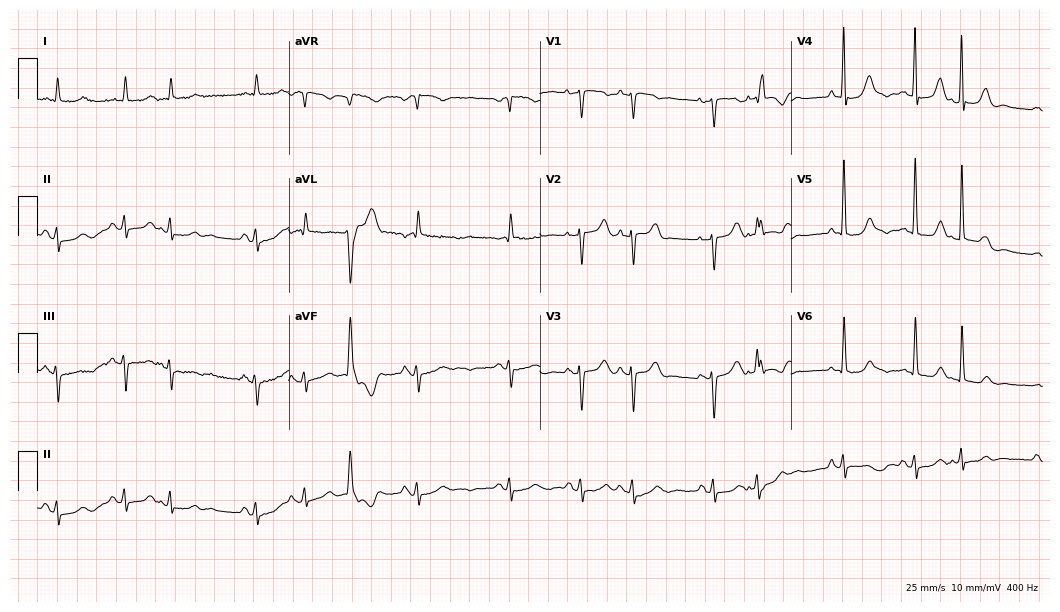
12-lead ECG (10.2-second recording at 400 Hz) from a female patient, 85 years old. Screened for six findings — first-degree AV block, right bundle branch block (RBBB), left bundle branch block (LBBB), sinus bradycardia, atrial fibrillation (AF), sinus tachycardia — none is recorded.